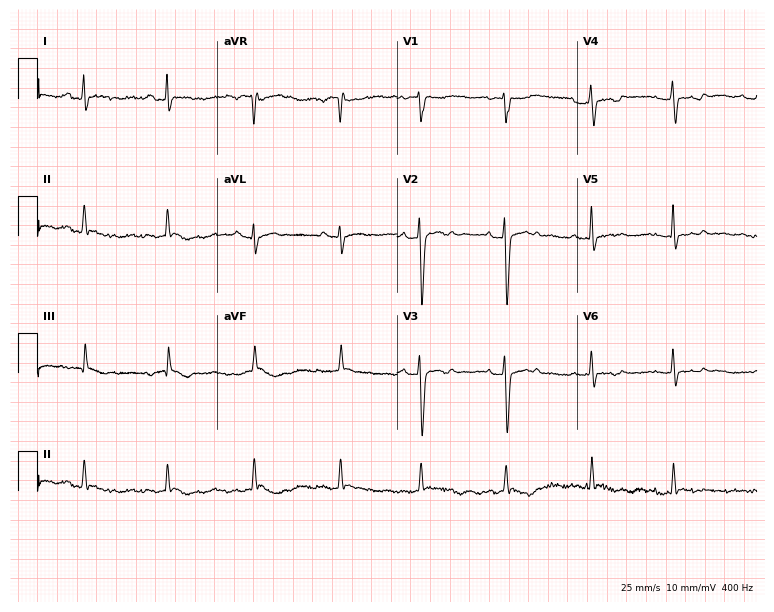
12-lead ECG (7.3-second recording at 400 Hz) from a female, 18 years old. Screened for six findings — first-degree AV block, right bundle branch block (RBBB), left bundle branch block (LBBB), sinus bradycardia, atrial fibrillation (AF), sinus tachycardia — none is recorded.